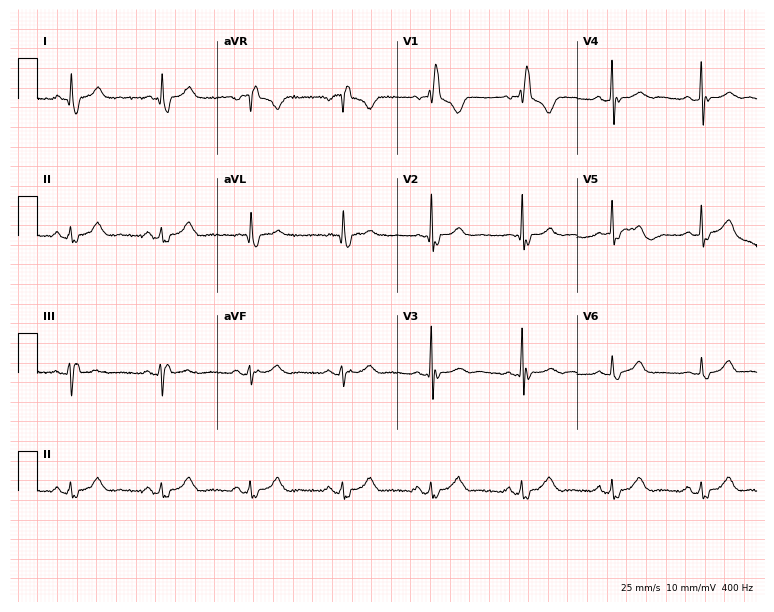
Resting 12-lead electrocardiogram (7.3-second recording at 400 Hz). Patient: an 83-year-old female. The tracing shows right bundle branch block.